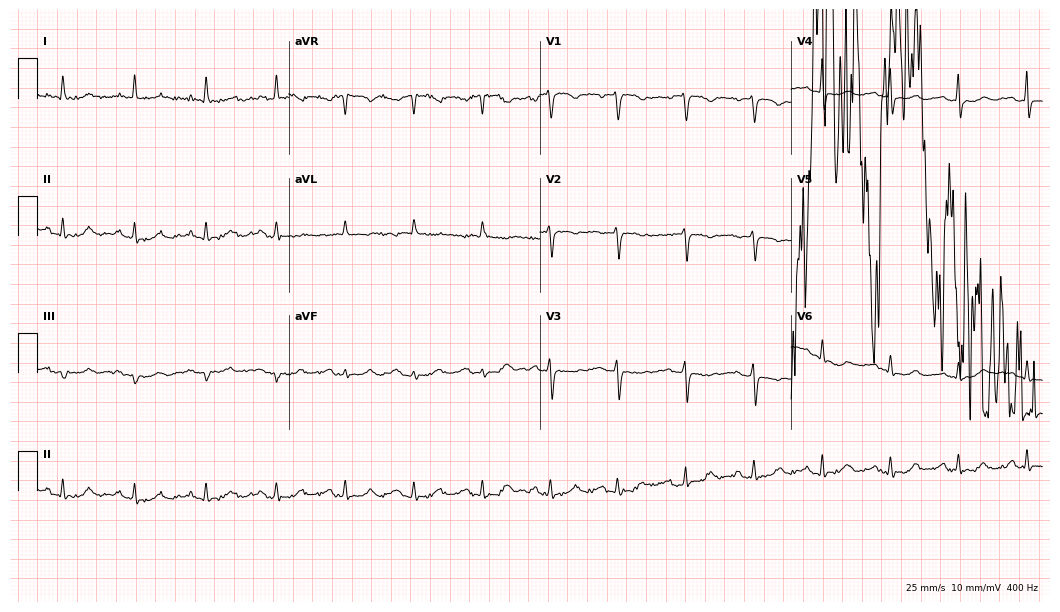
Electrocardiogram (10.2-second recording at 400 Hz), a 54-year-old female. Interpretation includes sinus tachycardia (a sinus rate of 100 beats per minute or more).